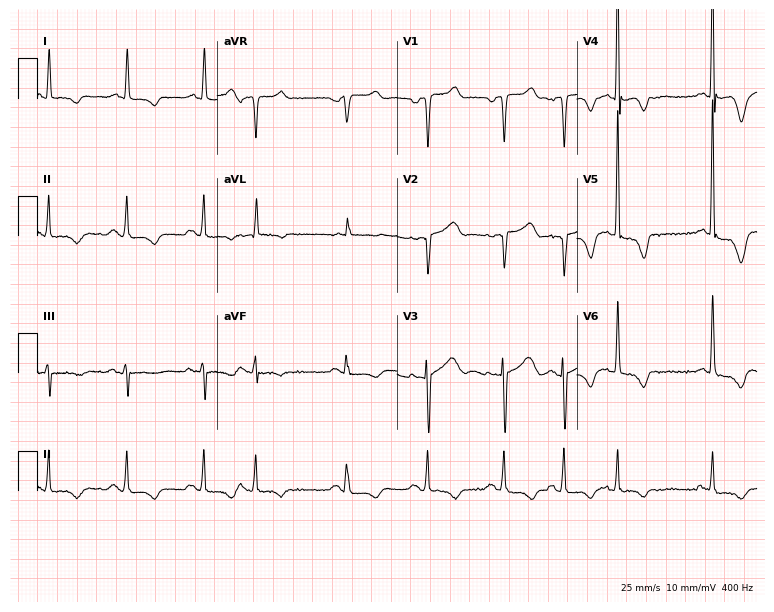
Electrocardiogram, a male patient, 71 years old. Of the six screened findings (first-degree AV block, right bundle branch block, left bundle branch block, sinus bradycardia, atrial fibrillation, sinus tachycardia), none is recorded. Other findings, if any, are not listed.